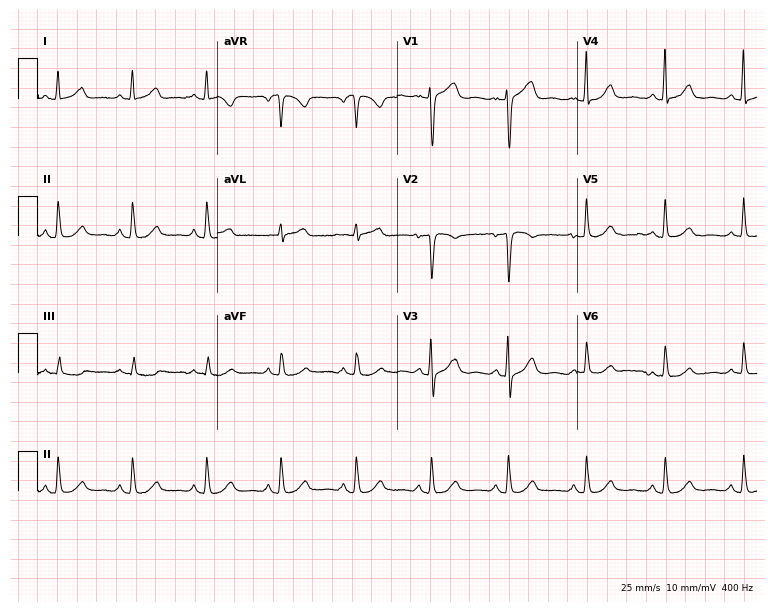
Electrocardiogram (7.3-second recording at 400 Hz), a 52-year-old female. Overall reading on record: normal ECG.